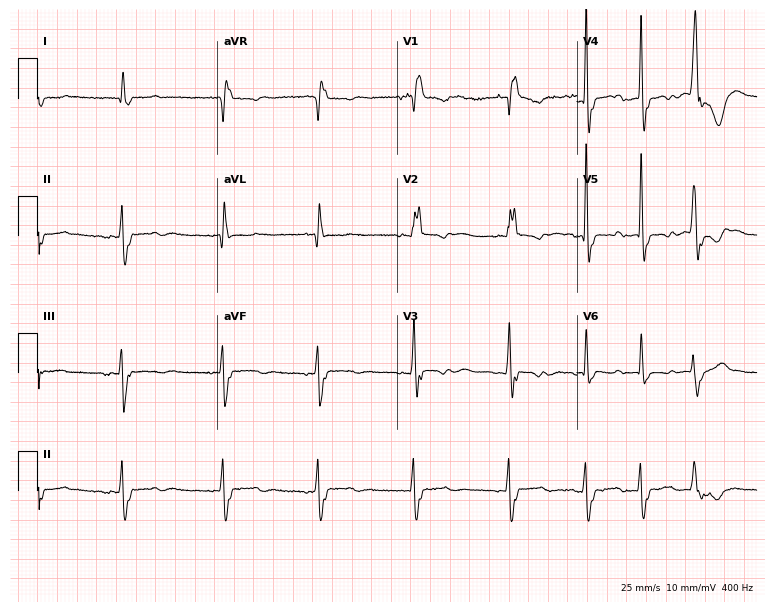
Resting 12-lead electrocardiogram. Patient: a 66-year-old female. The tracing shows right bundle branch block (RBBB), atrial fibrillation (AF).